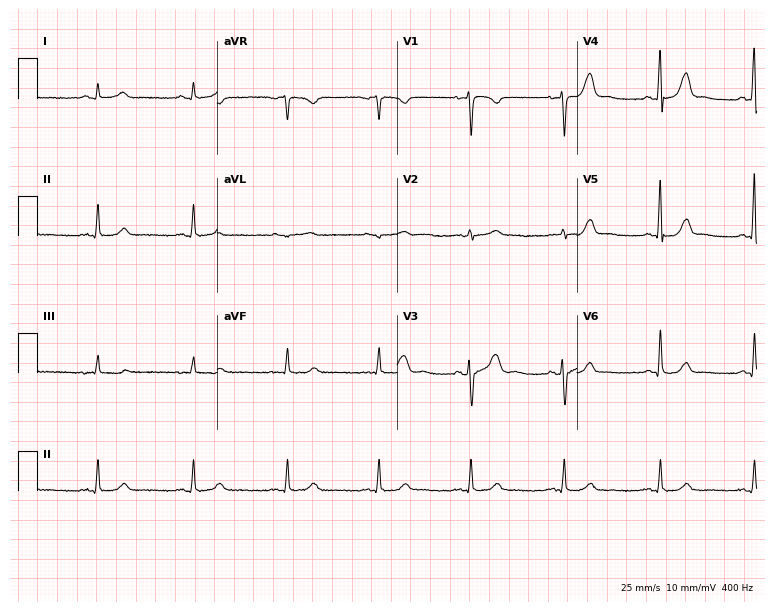
12-lead ECG (7.3-second recording at 400 Hz) from a 35-year-old female patient. Labelled as a normal ECG.